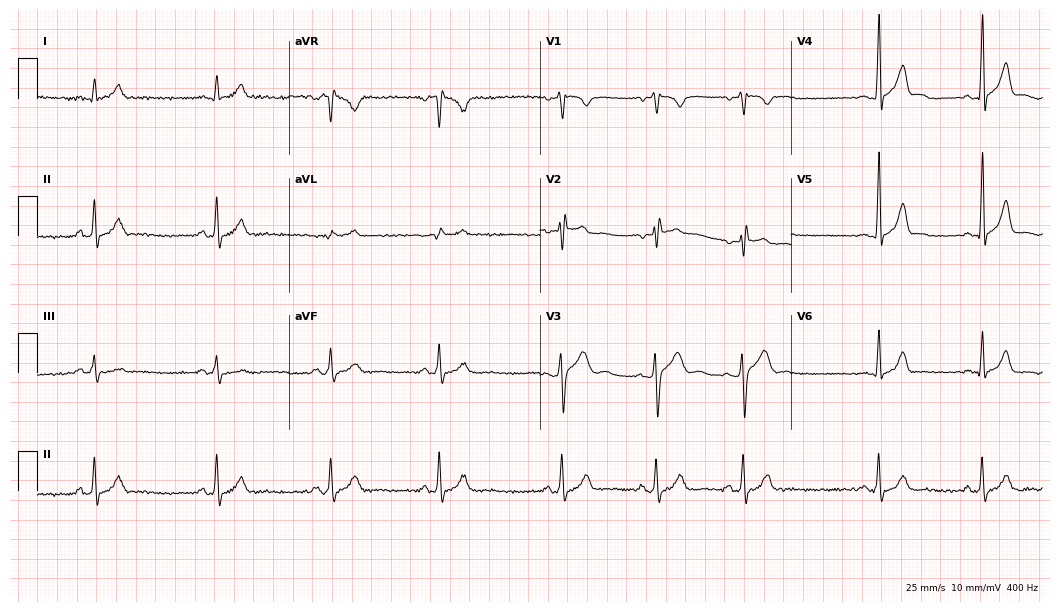
12-lead ECG (10.2-second recording at 400 Hz) from a 20-year-old male patient. Labelled as a normal ECG.